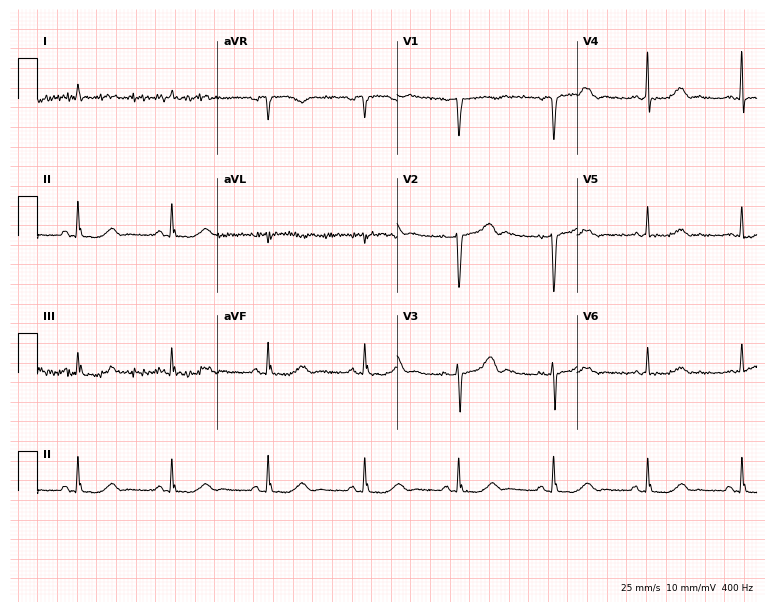
Resting 12-lead electrocardiogram (7.3-second recording at 400 Hz). Patient: a man, 75 years old. Read as a normal ECG.